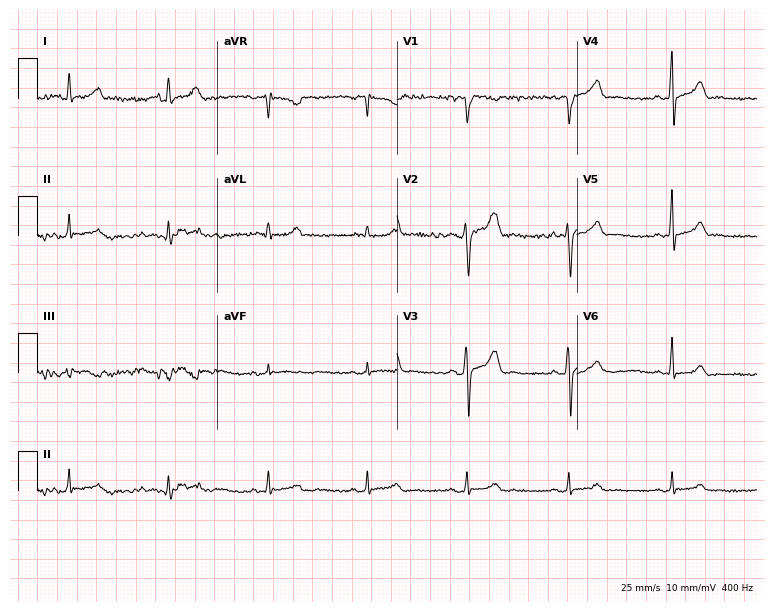
Electrocardiogram (7.3-second recording at 400 Hz), a male, 43 years old. Of the six screened findings (first-degree AV block, right bundle branch block, left bundle branch block, sinus bradycardia, atrial fibrillation, sinus tachycardia), none is recorded. Only these six findings were labelled.